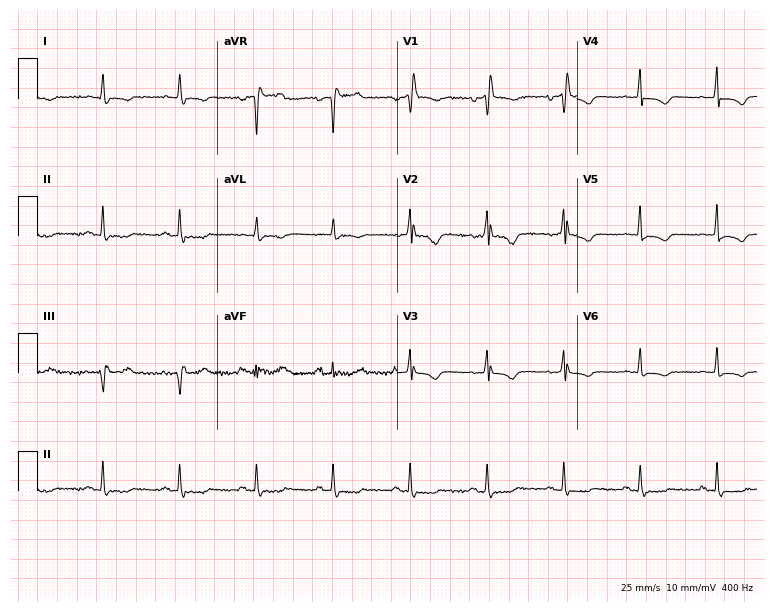
Electrocardiogram (7.3-second recording at 400 Hz), a male, 75 years old. Of the six screened findings (first-degree AV block, right bundle branch block (RBBB), left bundle branch block (LBBB), sinus bradycardia, atrial fibrillation (AF), sinus tachycardia), none is recorded. Only these six findings were labelled.